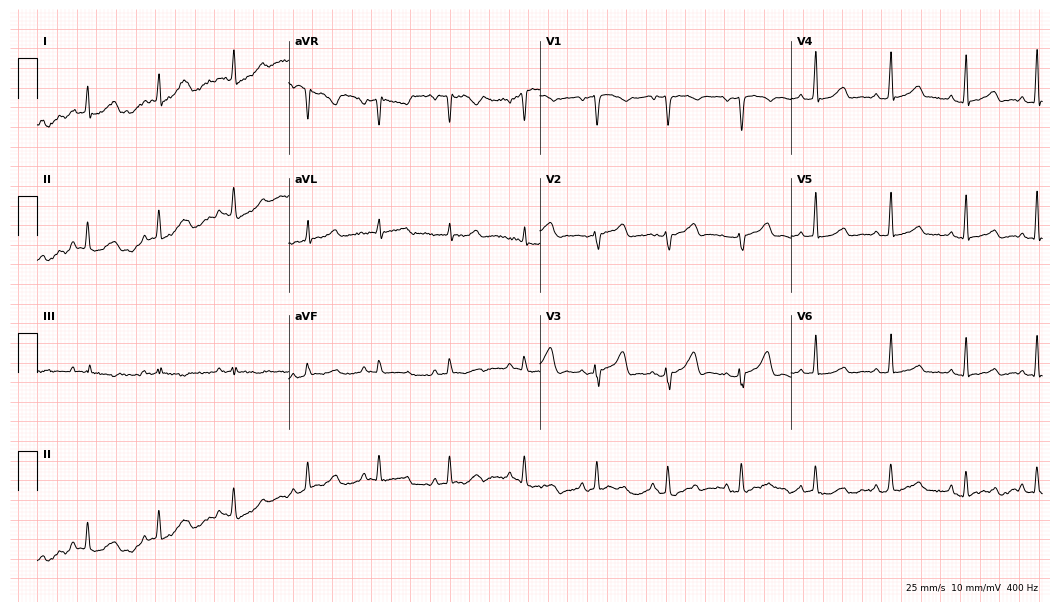
12-lead ECG from a 48-year-old female patient (10.2-second recording at 400 Hz). No first-degree AV block, right bundle branch block (RBBB), left bundle branch block (LBBB), sinus bradycardia, atrial fibrillation (AF) or sinus tachycardia recorded for this tracing. Only these six findings were labelled.